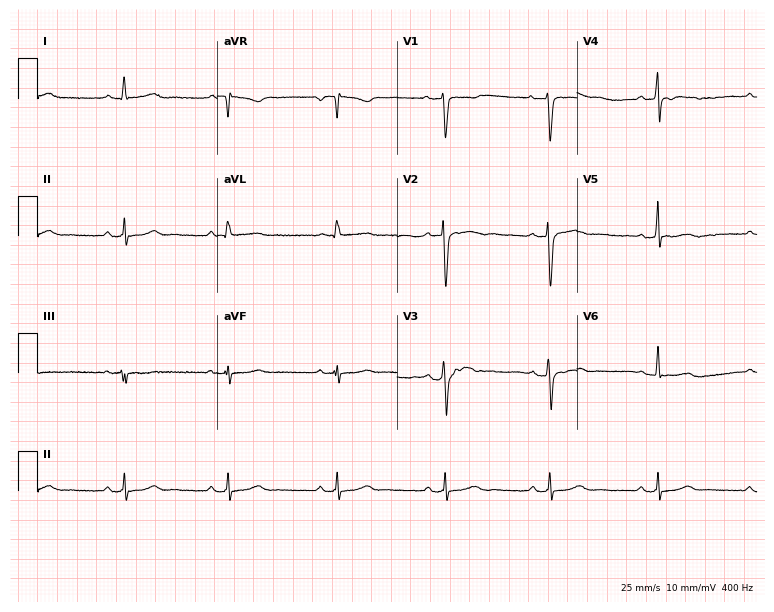
12-lead ECG (7.3-second recording at 400 Hz) from a female, 47 years old. Labelled as a normal ECG.